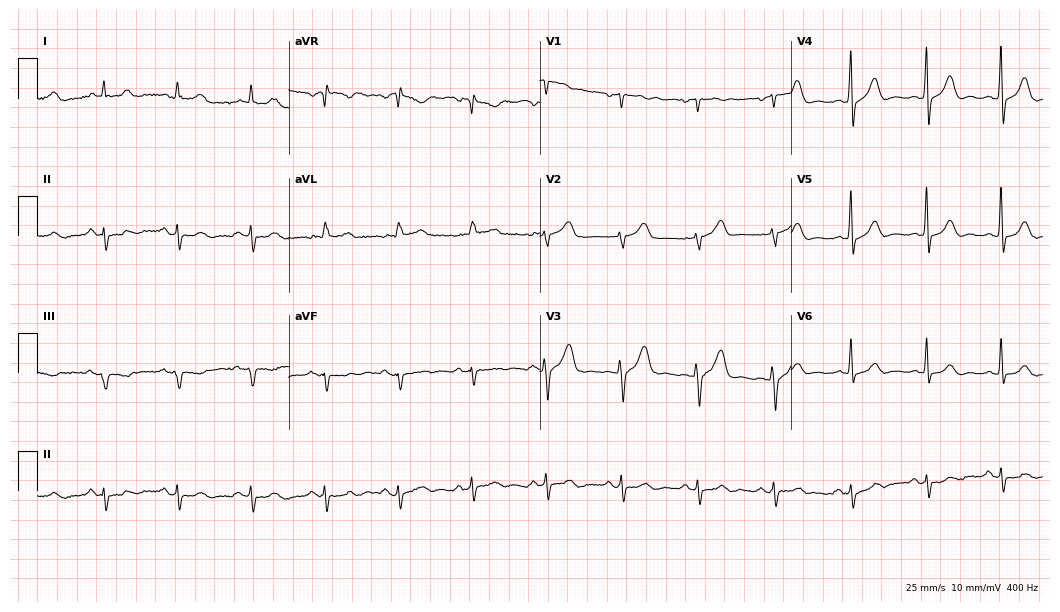
Standard 12-lead ECG recorded from a 63-year-old female (10.2-second recording at 400 Hz). Read as a normal ECG.